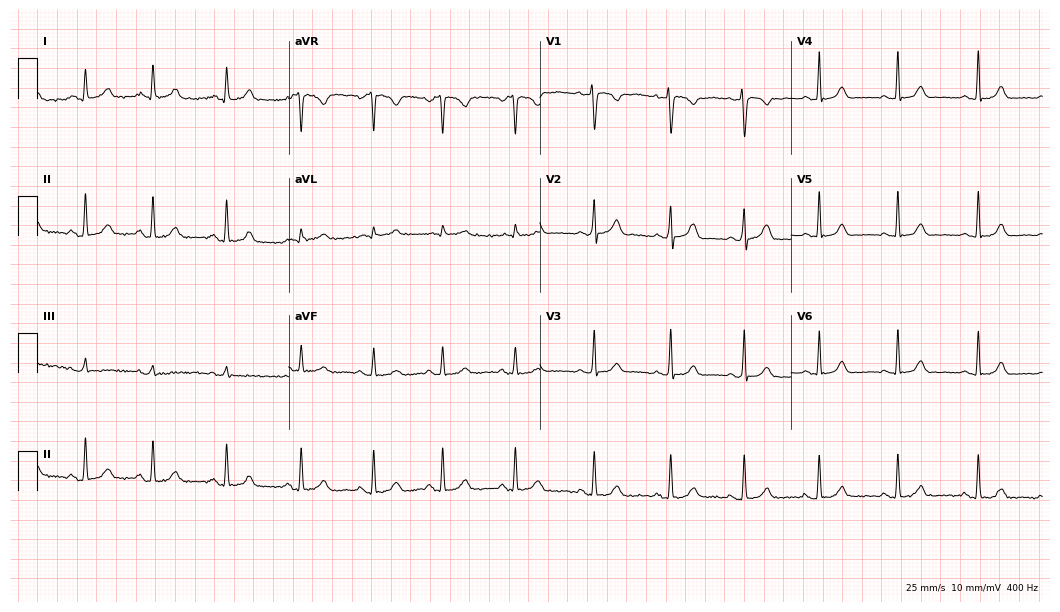
Electrocardiogram, a 26-year-old woman. Overall reading on record: normal ECG.